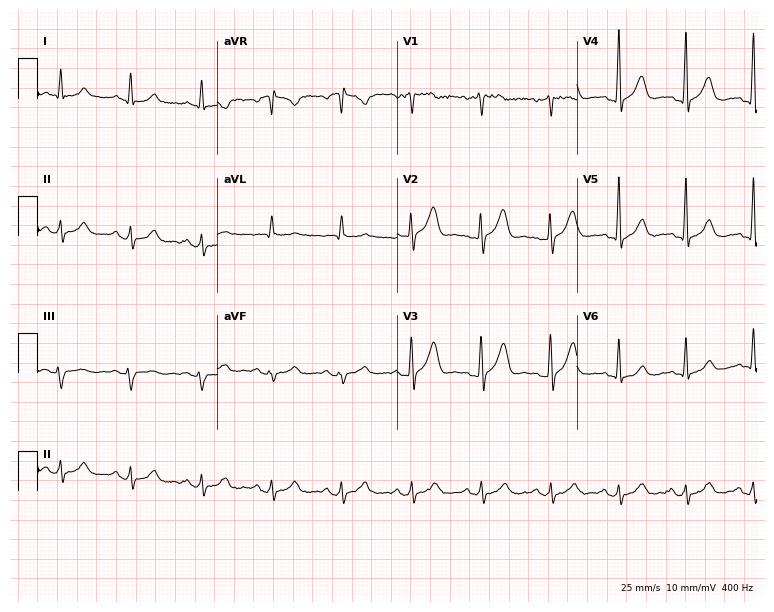
12-lead ECG from a male patient, 58 years old (7.3-second recording at 400 Hz). No first-degree AV block, right bundle branch block (RBBB), left bundle branch block (LBBB), sinus bradycardia, atrial fibrillation (AF) or sinus tachycardia recorded for this tracing.